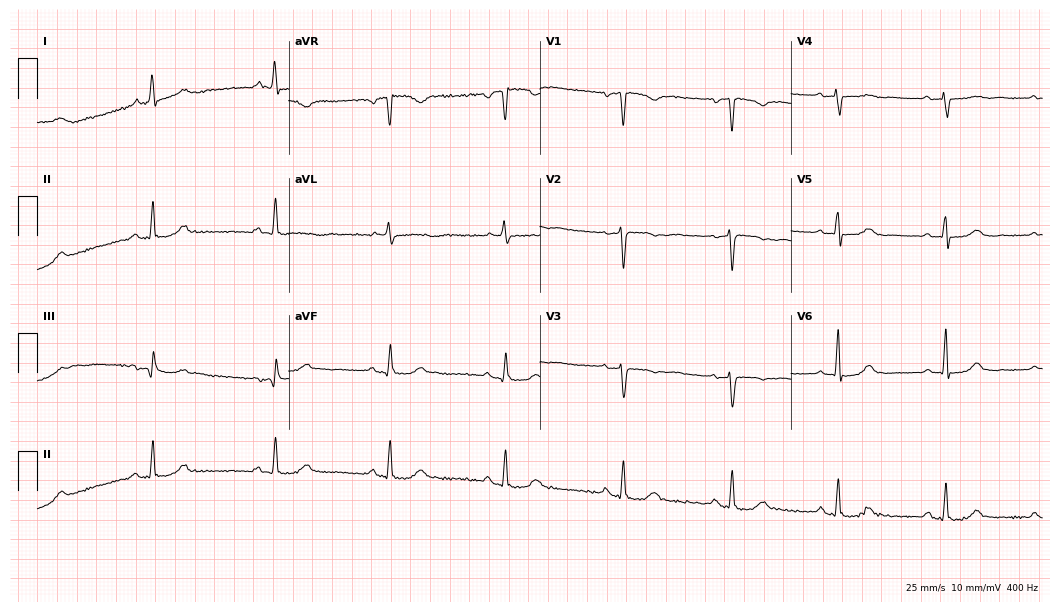
12-lead ECG (10.2-second recording at 400 Hz) from a female, 68 years old. Screened for six findings — first-degree AV block, right bundle branch block, left bundle branch block, sinus bradycardia, atrial fibrillation, sinus tachycardia — none is recorded.